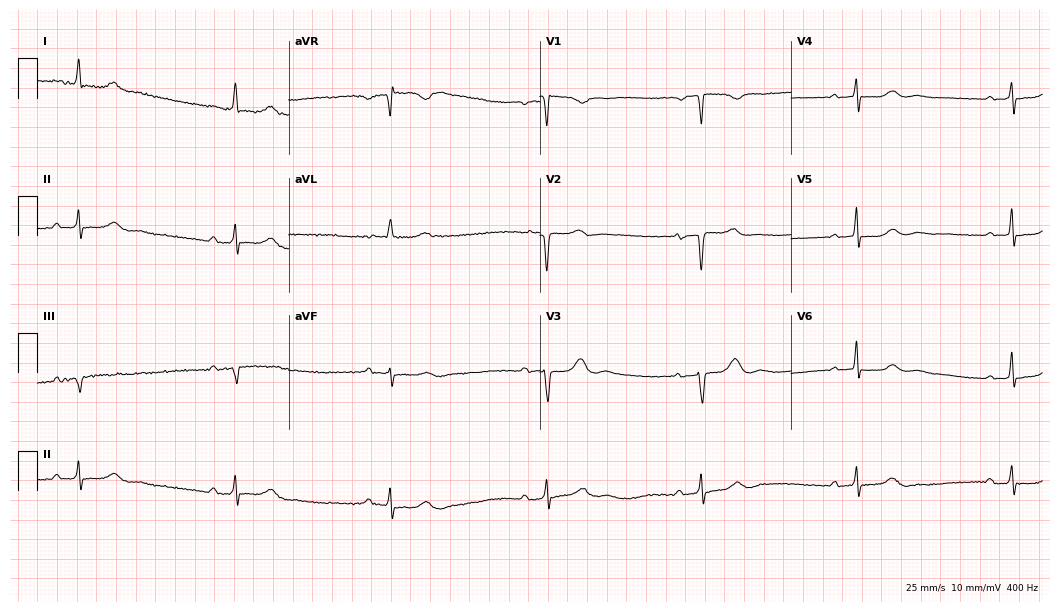
Electrocardiogram (10.2-second recording at 400 Hz), a female, 67 years old. Interpretation includes first-degree AV block, right bundle branch block (RBBB), sinus bradycardia (a sinus rate of 50 beats per minute or less).